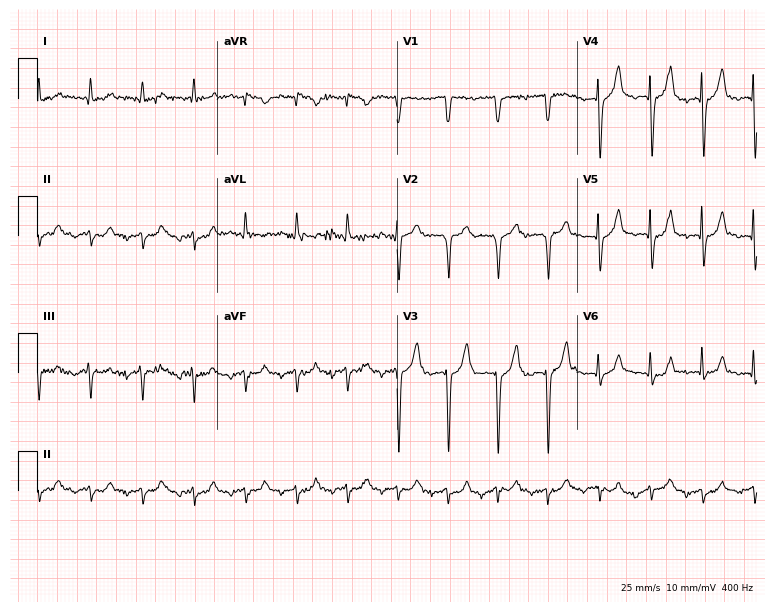
ECG (7.3-second recording at 400 Hz) — a male patient, 83 years old. Screened for six findings — first-degree AV block, right bundle branch block, left bundle branch block, sinus bradycardia, atrial fibrillation, sinus tachycardia — none is recorded.